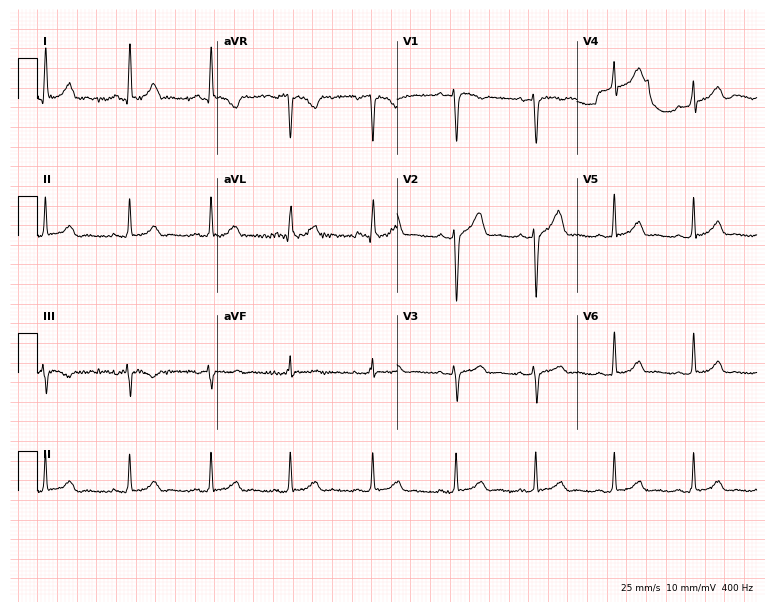
12-lead ECG from a 34-year-old female. Recorded interpretation: within normal limits.